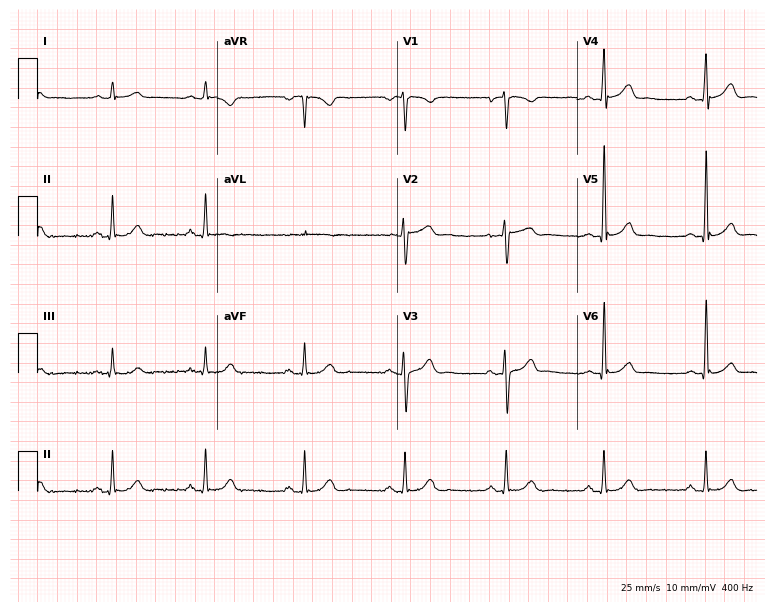
Resting 12-lead electrocardiogram (7.3-second recording at 400 Hz). Patient: a male, 47 years old. Read as a normal ECG.